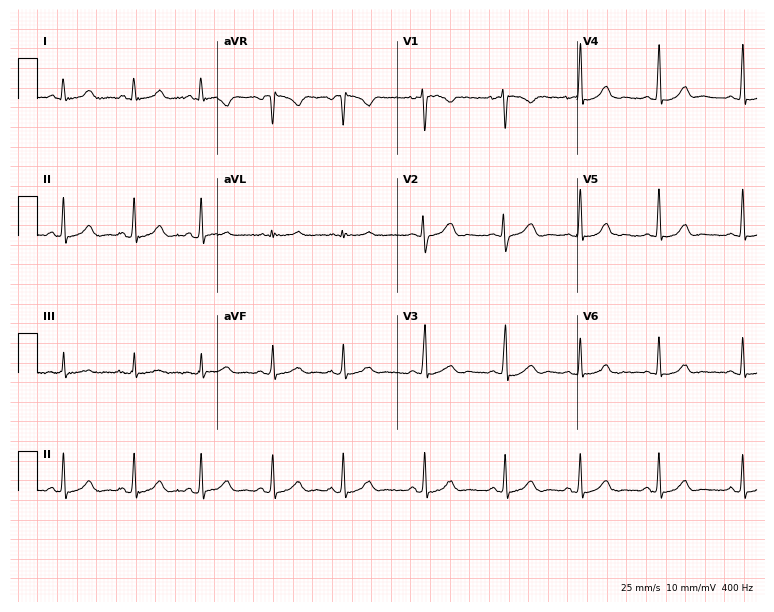
Electrocardiogram (7.3-second recording at 400 Hz), a 19-year-old female. Overall reading on record: normal ECG.